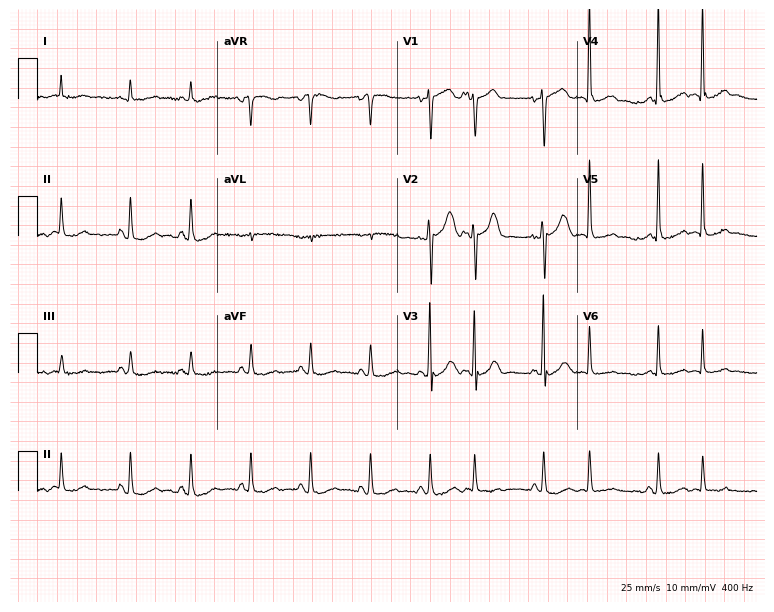
Electrocardiogram, an 84-year-old female. Of the six screened findings (first-degree AV block, right bundle branch block (RBBB), left bundle branch block (LBBB), sinus bradycardia, atrial fibrillation (AF), sinus tachycardia), none is recorded.